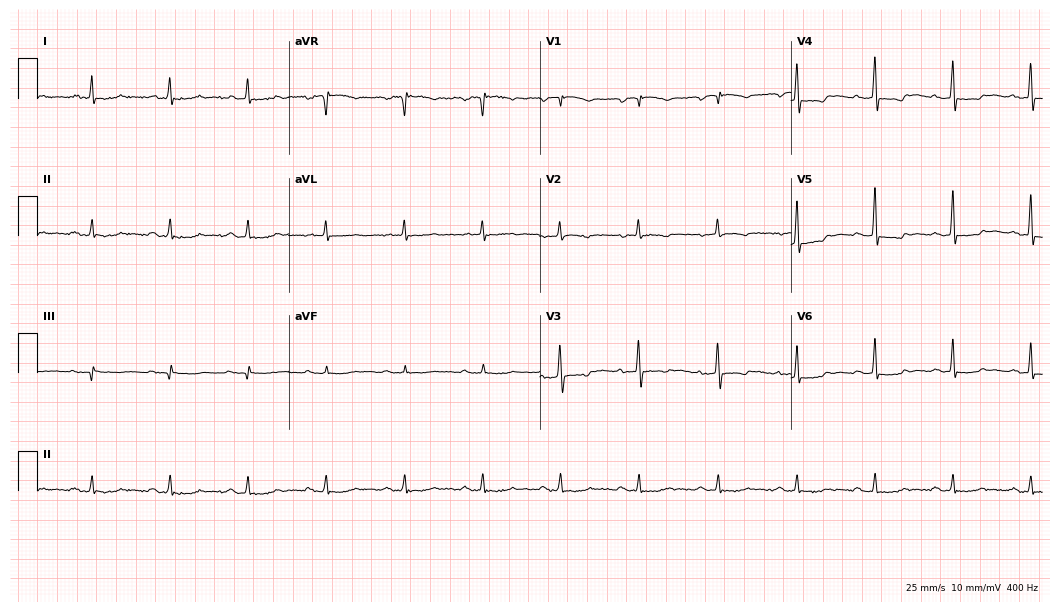
ECG — a 70-year-old female patient. Screened for six findings — first-degree AV block, right bundle branch block (RBBB), left bundle branch block (LBBB), sinus bradycardia, atrial fibrillation (AF), sinus tachycardia — none is recorded.